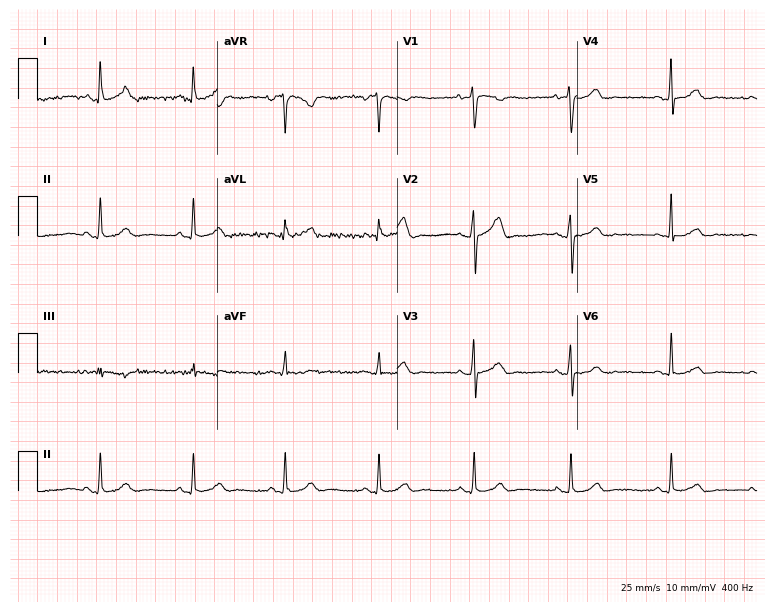
Electrocardiogram (7.3-second recording at 400 Hz), a 28-year-old male. Overall reading on record: normal ECG.